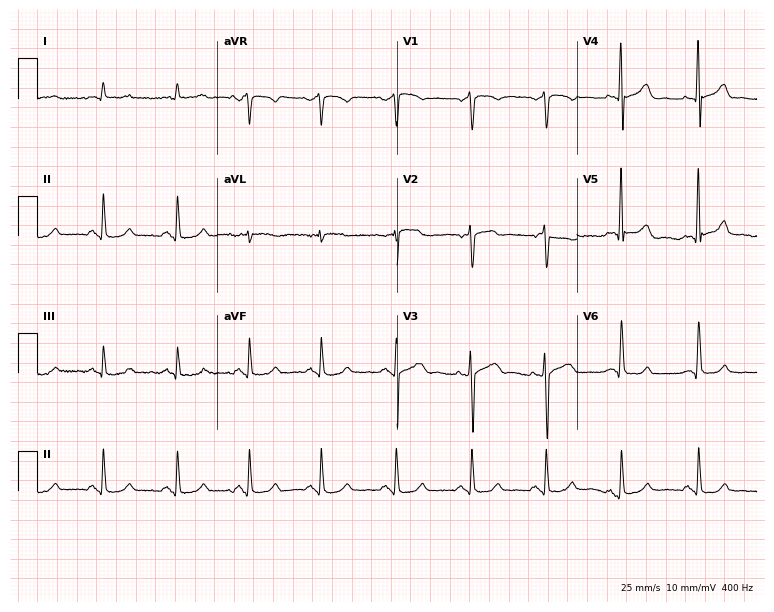
12-lead ECG from a 51-year-old male patient. Screened for six findings — first-degree AV block, right bundle branch block, left bundle branch block, sinus bradycardia, atrial fibrillation, sinus tachycardia — none is recorded. Other findings, if any, are not listed.